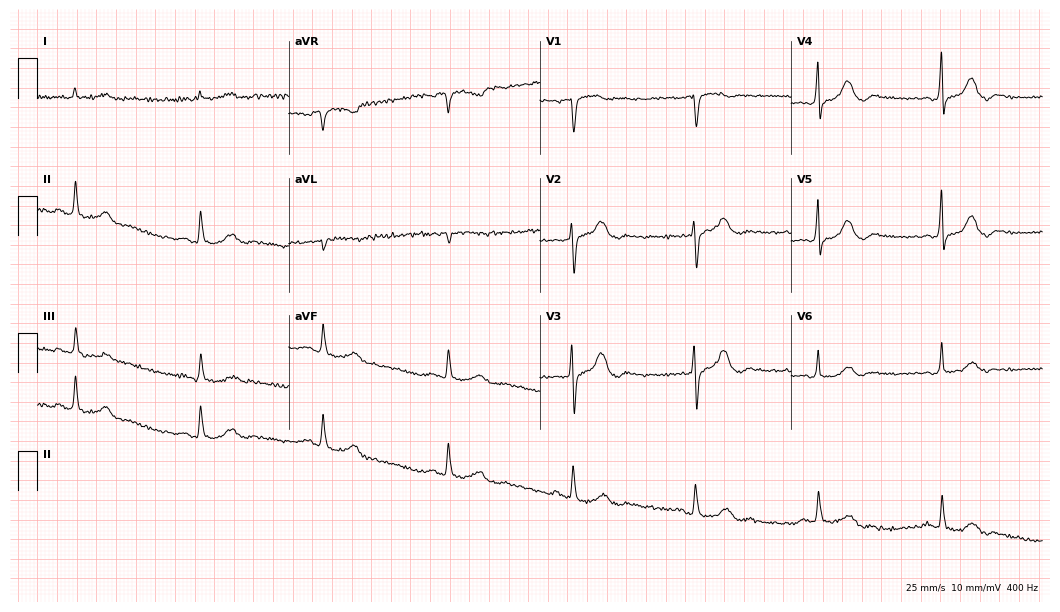
ECG — an 84-year-old male patient. Labelled as a normal ECG.